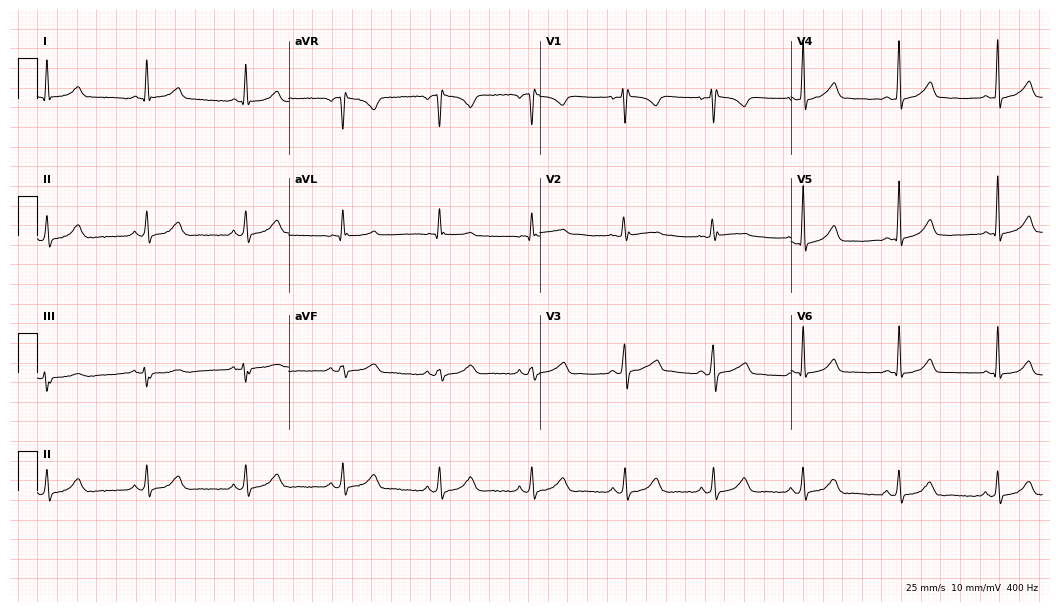
ECG — a female, 31 years old. Labelled as a normal ECG.